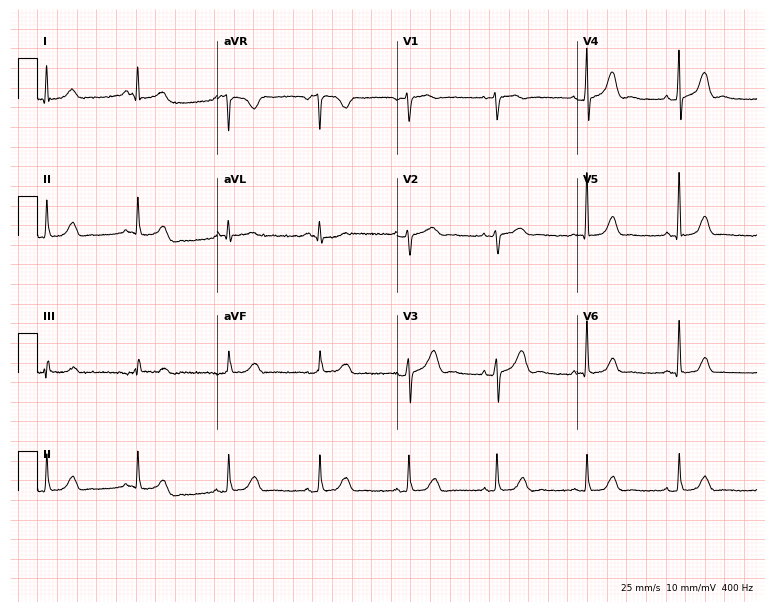
Electrocardiogram (7.3-second recording at 400 Hz), a 61-year-old woman. Overall reading on record: normal ECG.